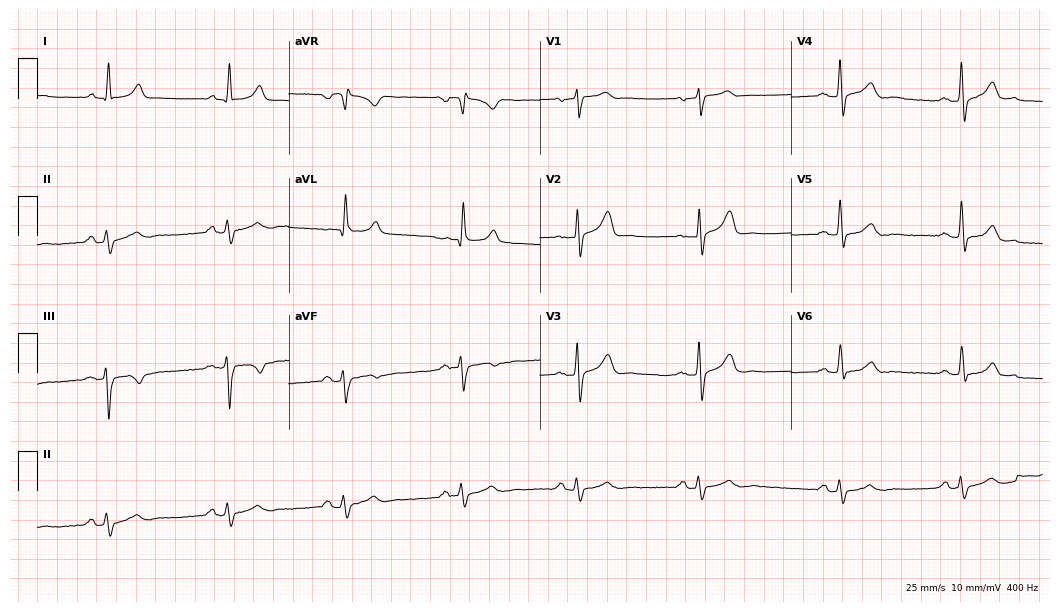
12-lead ECG (10.2-second recording at 400 Hz) from a male, 65 years old. Findings include sinus bradycardia (a sinus rate of 50 beats per minute or less).